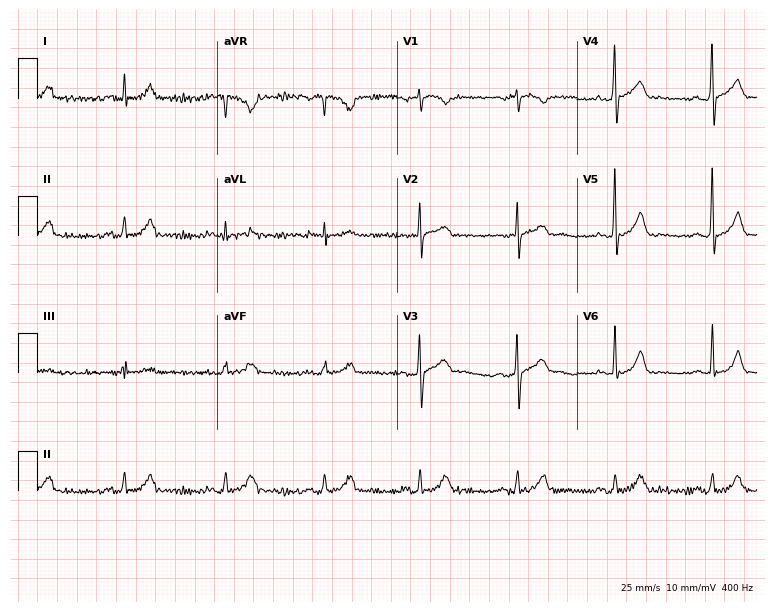
Standard 12-lead ECG recorded from a 57-year-old man. Read as a normal ECG.